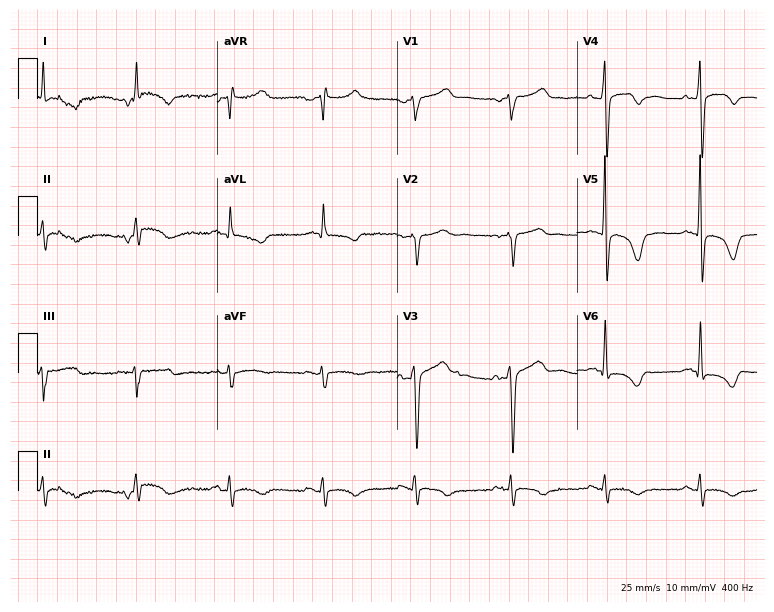
12-lead ECG from a 67-year-old male. Screened for six findings — first-degree AV block, right bundle branch block, left bundle branch block, sinus bradycardia, atrial fibrillation, sinus tachycardia — none is recorded. Findings outside these six are not listed.